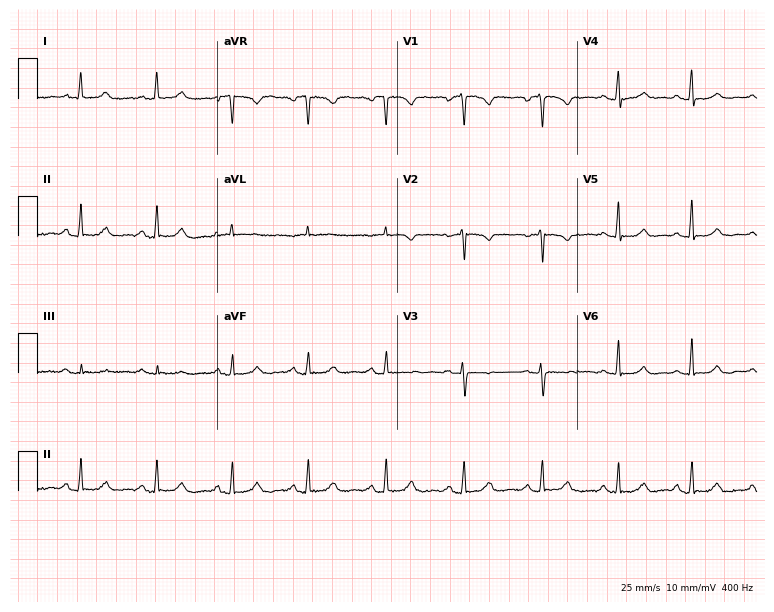
Electrocardiogram (7.3-second recording at 400 Hz), a female, 63 years old. Overall reading on record: normal ECG.